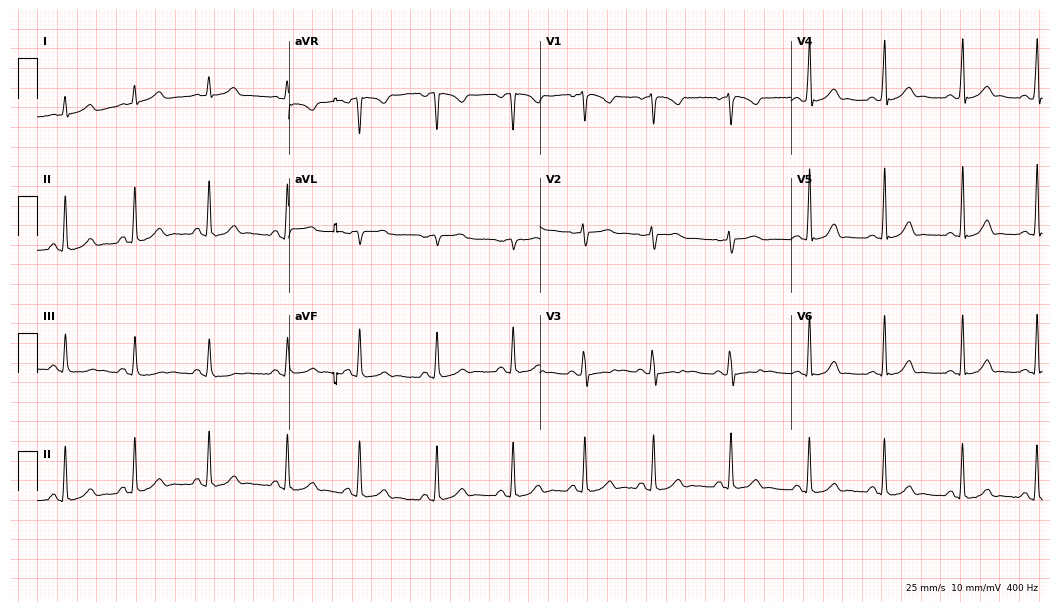
Resting 12-lead electrocardiogram (10.2-second recording at 400 Hz). Patient: an 18-year-old female. Read as a normal ECG.